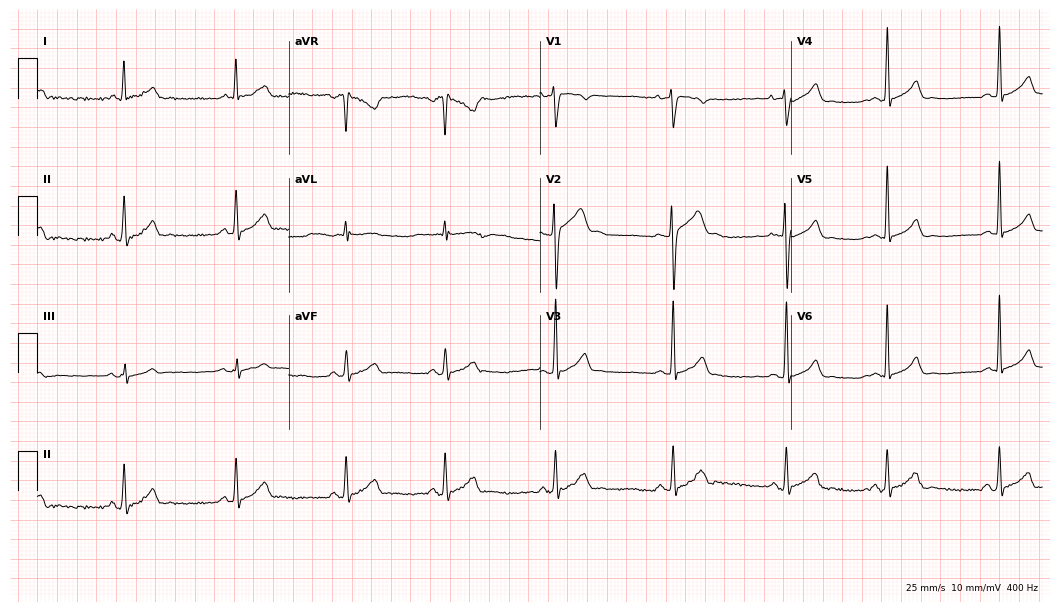
Resting 12-lead electrocardiogram (10.2-second recording at 400 Hz). Patient: a man, 18 years old. Read as a normal ECG.